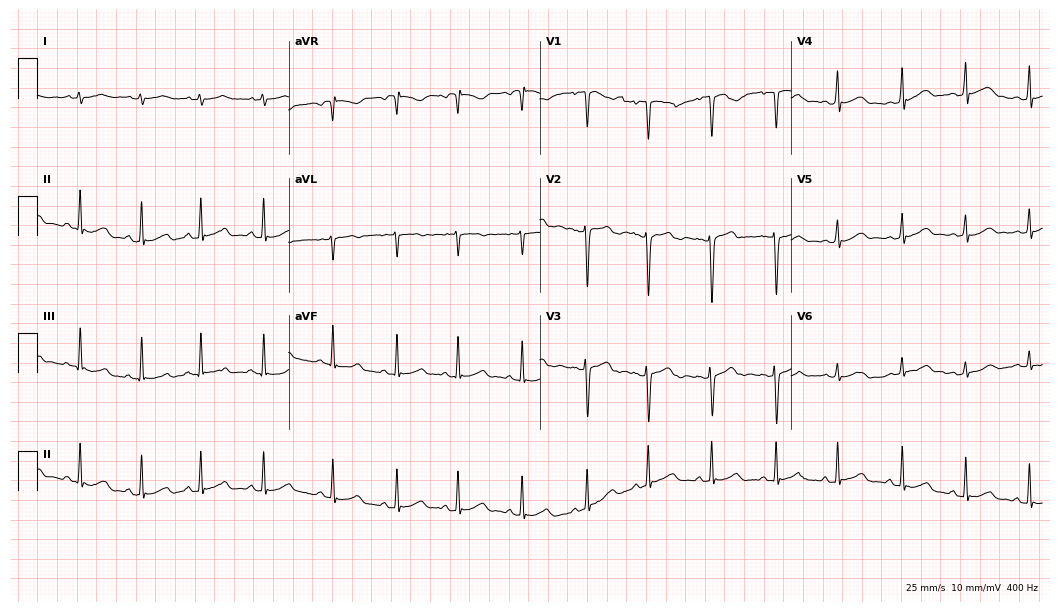
Standard 12-lead ECG recorded from a woman, 17 years old. Read as a normal ECG.